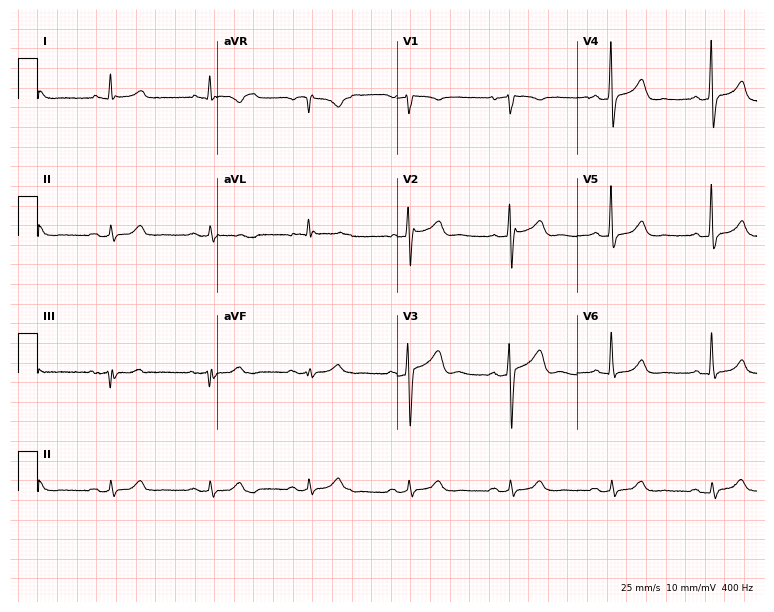
Standard 12-lead ECG recorded from a 66-year-old man (7.3-second recording at 400 Hz). None of these six findings is recorded: first-degree AV block, right bundle branch block, left bundle branch block, sinus bradycardia, atrial fibrillation, sinus tachycardia.